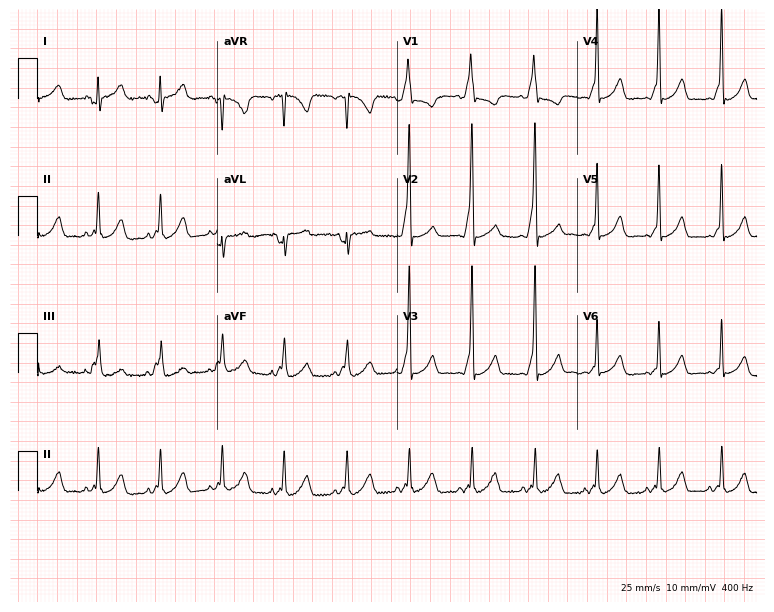
Standard 12-lead ECG recorded from a 43-year-old female (7.3-second recording at 400 Hz). None of these six findings is recorded: first-degree AV block, right bundle branch block, left bundle branch block, sinus bradycardia, atrial fibrillation, sinus tachycardia.